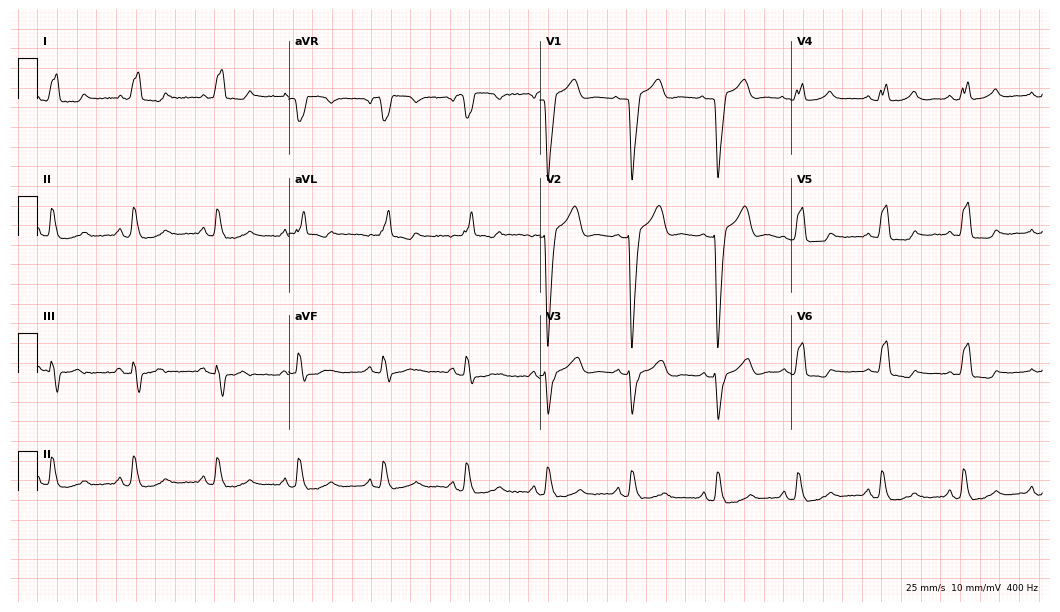
Resting 12-lead electrocardiogram (10.2-second recording at 400 Hz). Patient: a 62-year-old female. The tracing shows left bundle branch block.